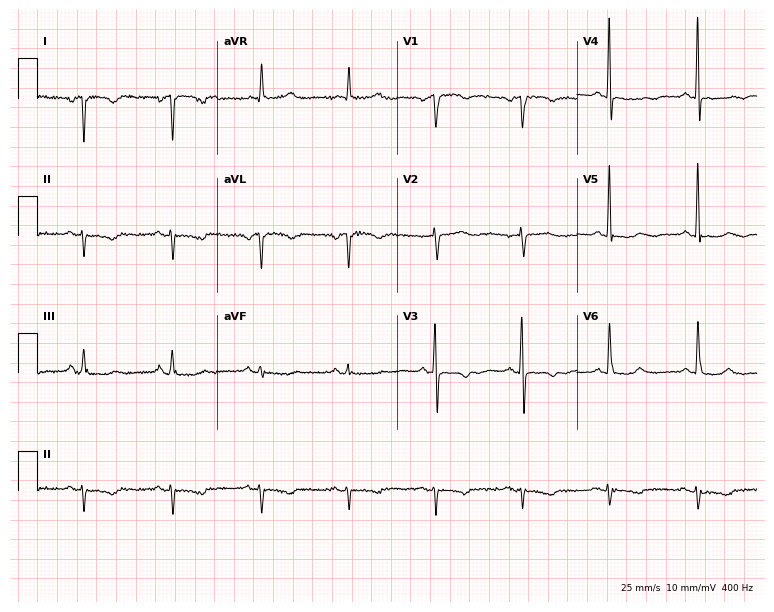
Standard 12-lead ECG recorded from a woman, 60 years old (7.3-second recording at 400 Hz). None of these six findings is recorded: first-degree AV block, right bundle branch block (RBBB), left bundle branch block (LBBB), sinus bradycardia, atrial fibrillation (AF), sinus tachycardia. Only these six findings were labelled.